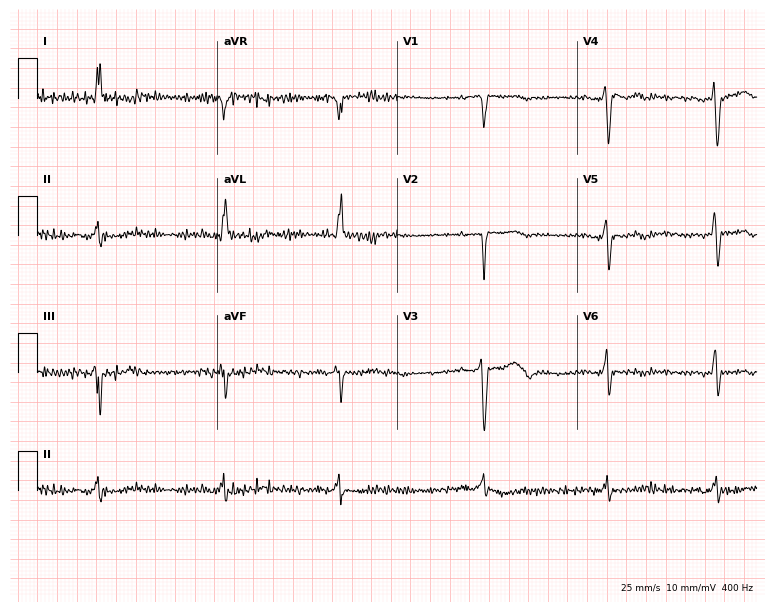
12-lead ECG from a 76-year-old female patient. Screened for six findings — first-degree AV block, right bundle branch block, left bundle branch block, sinus bradycardia, atrial fibrillation, sinus tachycardia — none is recorded. Only these six findings were labelled.